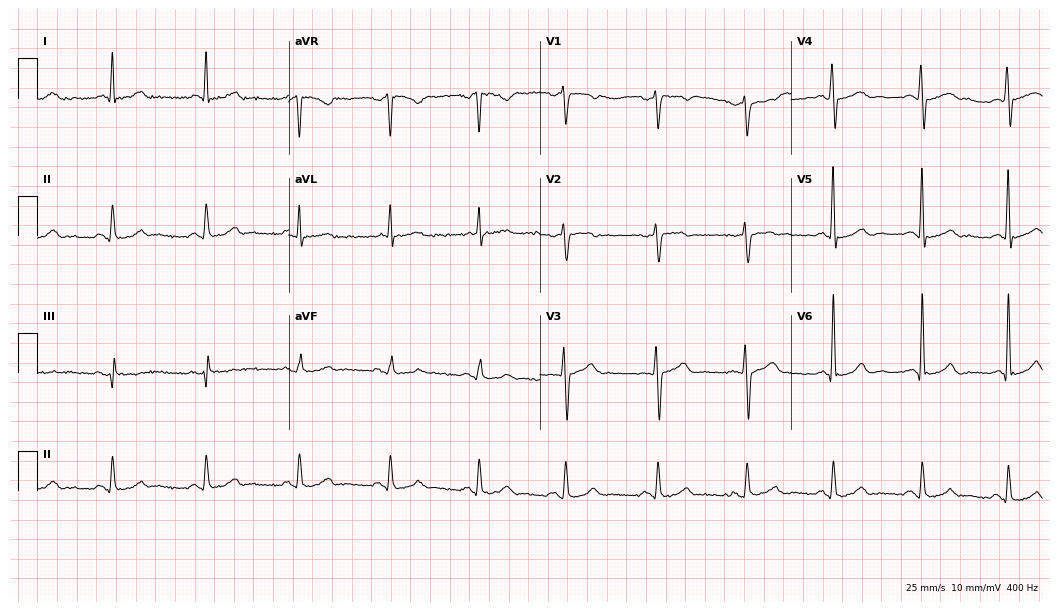
ECG — a 50-year-old man. Labelled as a normal ECG.